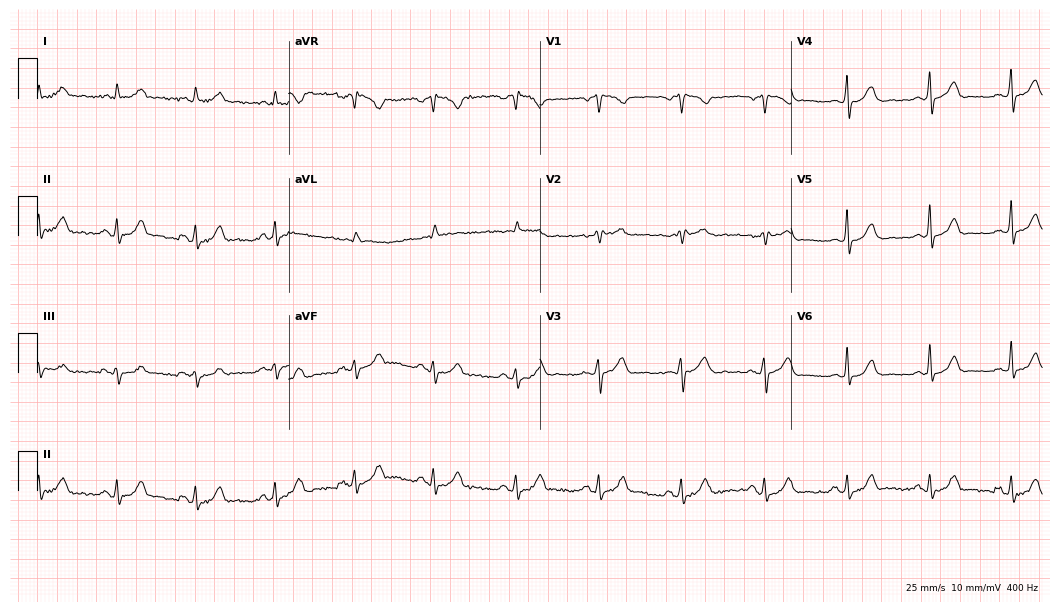
12-lead ECG from a male patient, 49 years old (10.2-second recording at 400 Hz). Recorded interpretation: within normal limits.